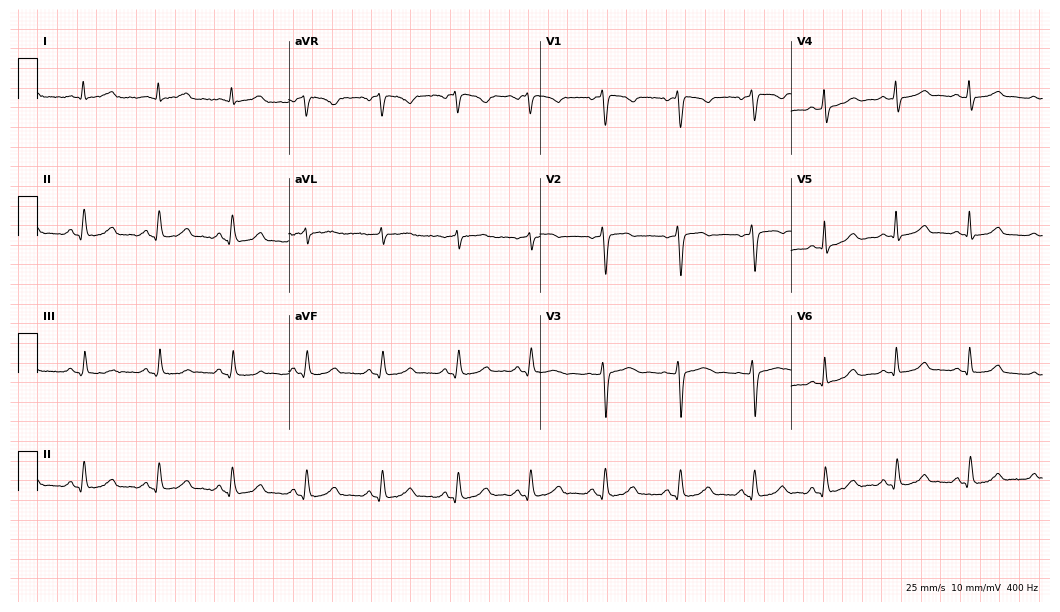
12-lead ECG from a woman, 41 years old (10.2-second recording at 400 Hz). No first-degree AV block, right bundle branch block, left bundle branch block, sinus bradycardia, atrial fibrillation or sinus tachycardia recorded for this tracing. Only these six findings were labelled.